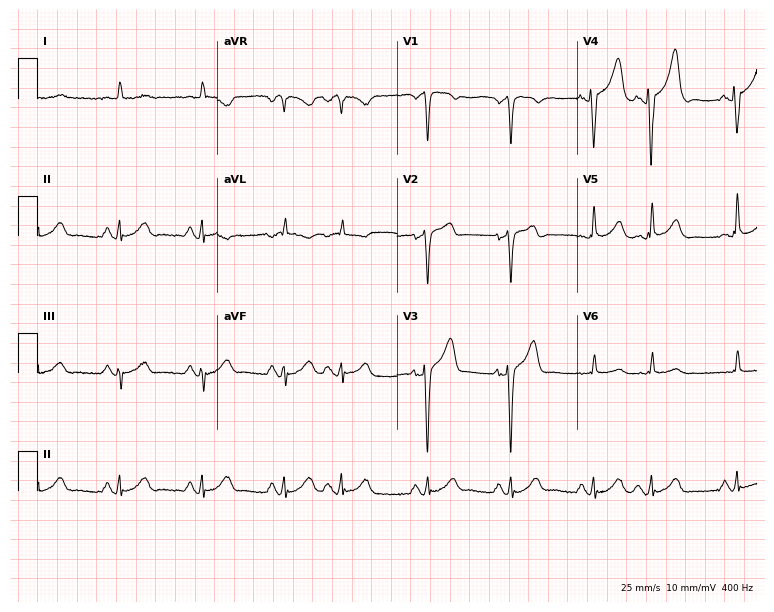
12-lead ECG from a 77-year-old male patient. Screened for six findings — first-degree AV block, right bundle branch block (RBBB), left bundle branch block (LBBB), sinus bradycardia, atrial fibrillation (AF), sinus tachycardia — none is recorded. Other findings, if any, are not listed.